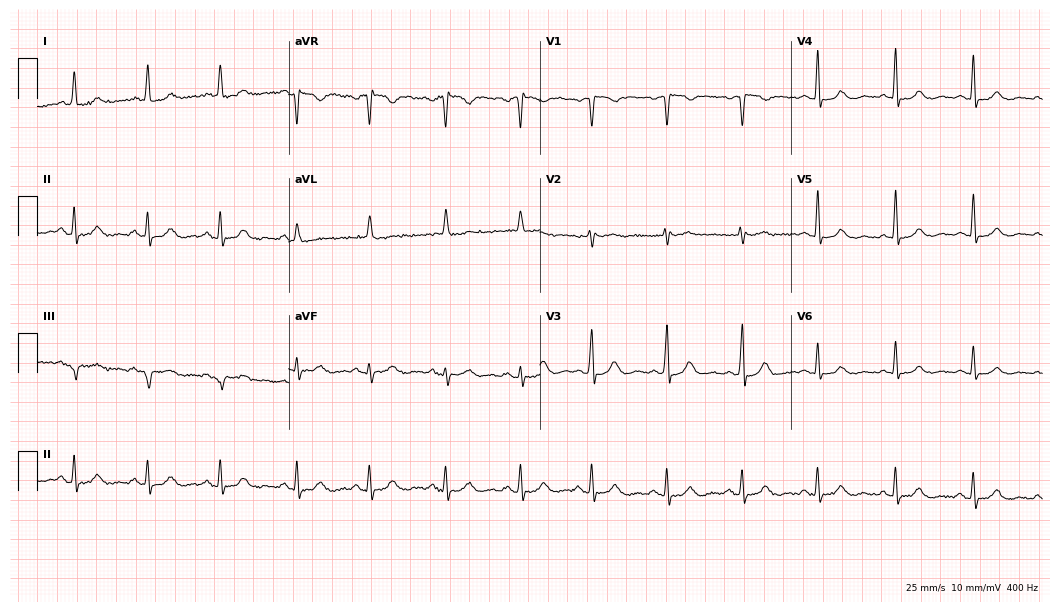
12-lead ECG (10.2-second recording at 400 Hz) from a 77-year-old female patient. Screened for six findings — first-degree AV block, right bundle branch block (RBBB), left bundle branch block (LBBB), sinus bradycardia, atrial fibrillation (AF), sinus tachycardia — none is recorded.